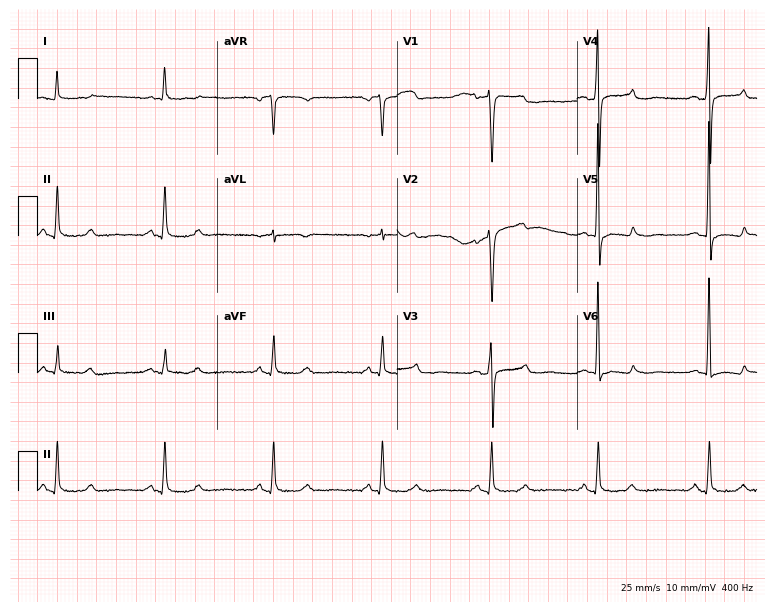
Standard 12-lead ECG recorded from a 48-year-old male (7.3-second recording at 400 Hz). None of these six findings is recorded: first-degree AV block, right bundle branch block (RBBB), left bundle branch block (LBBB), sinus bradycardia, atrial fibrillation (AF), sinus tachycardia. Findings outside these six are not listed.